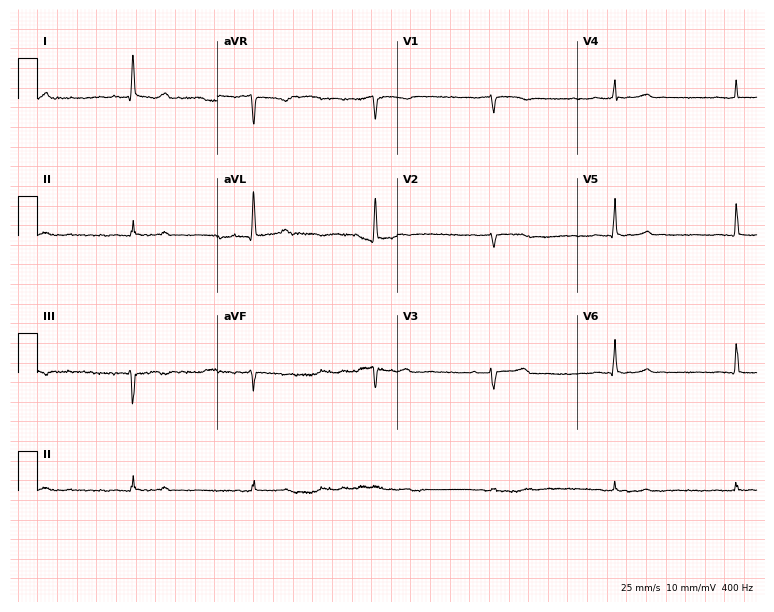
12-lead ECG from a woman, 57 years old. Screened for six findings — first-degree AV block, right bundle branch block, left bundle branch block, sinus bradycardia, atrial fibrillation, sinus tachycardia — none is recorded. Other findings, if any, are not listed.